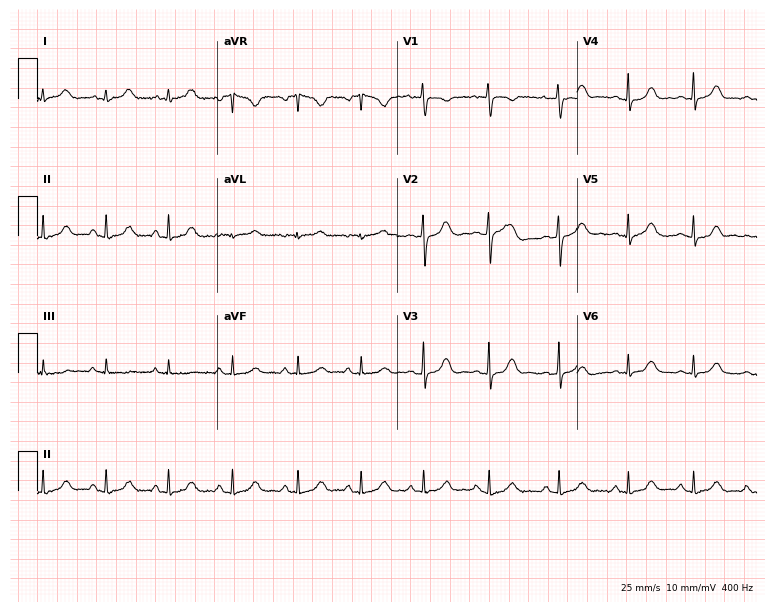
12-lead ECG from a 28-year-old female. Labelled as a normal ECG.